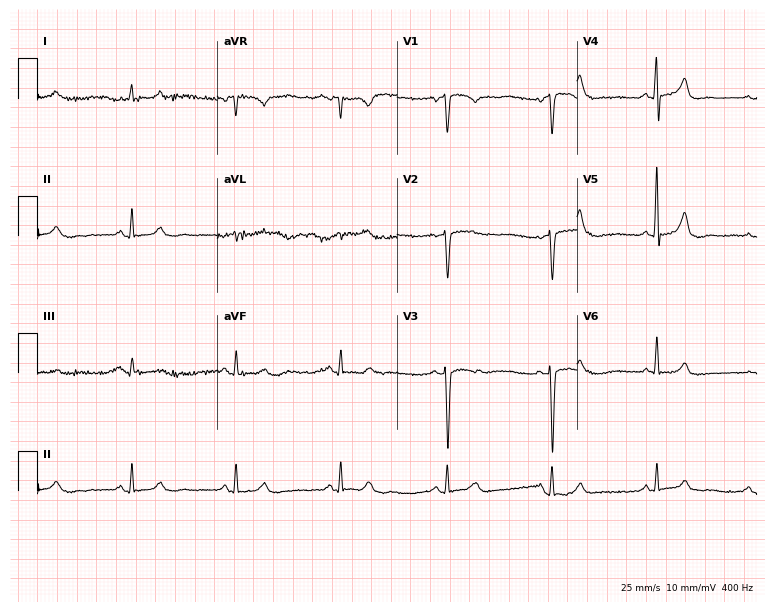
12-lead ECG from a 63-year-old male. Screened for six findings — first-degree AV block, right bundle branch block, left bundle branch block, sinus bradycardia, atrial fibrillation, sinus tachycardia — none is recorded.